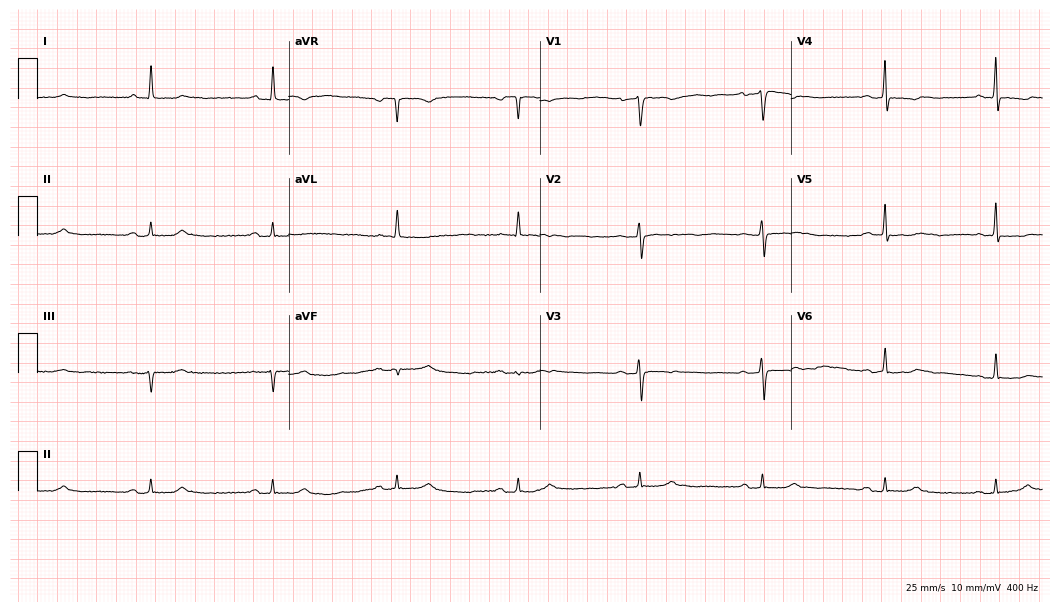
Standard 12-lead ECG recorded from a 53-year-old female. The tracing shows sinus bradycardia (a sinus rate of 50 beats per minute or less).